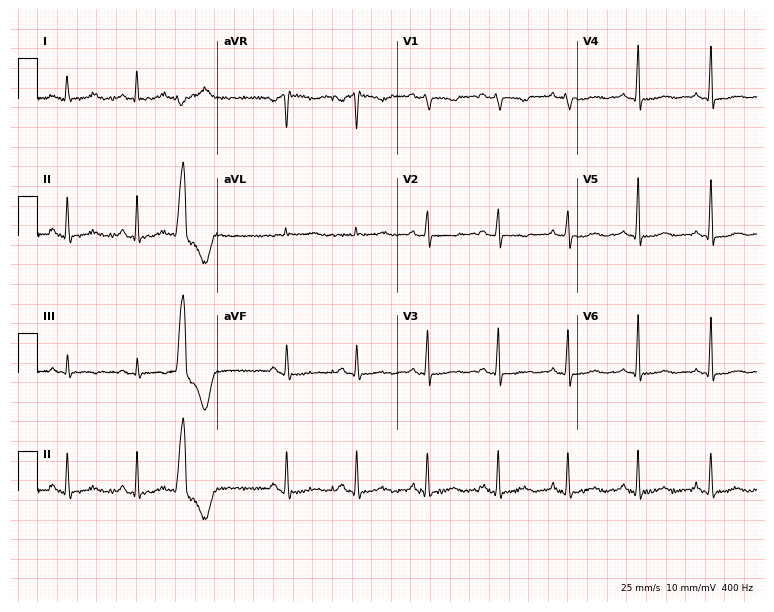
Standard 12-lead ECG recorded from a 44-year-old female. None of these six findings is recorded: first-degree AV block, right bundle branch block, left bundle branch block, sinus bradycardia, atrial fibrillation, sinus tachycardia. Only these six findings were labelled.